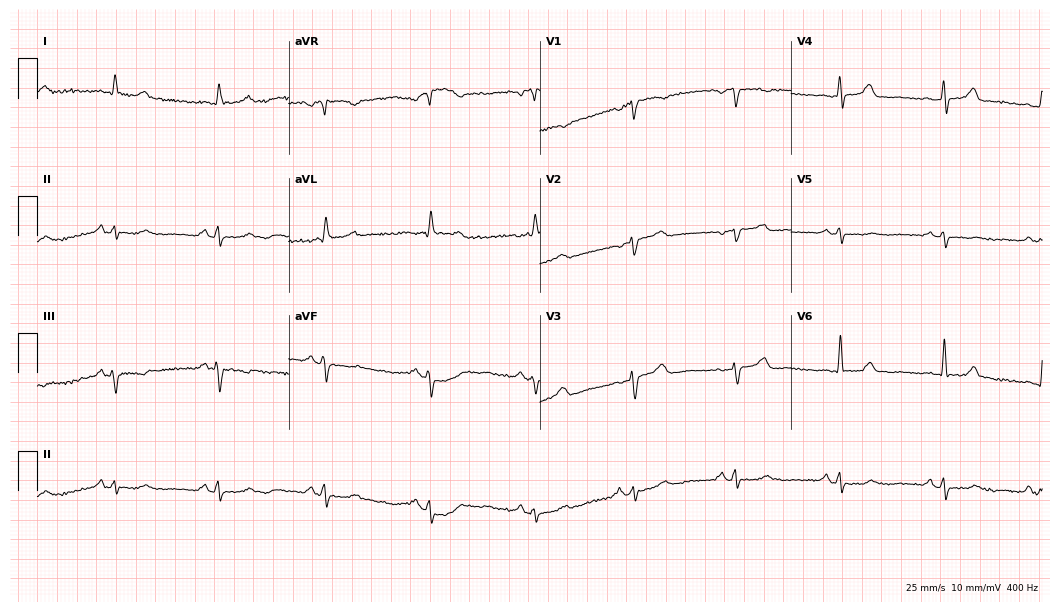
Standard 12-lead ECG recorded from a 74-year-old female (10.2-second recording at 400 Hz). None of these six findings is recorded: first-degree AV block, right bundle branch block (RBBB), left bundle branch block (LBBB), sinus bradycardia, atrial fibrillation (AF), sinus tachycardia. Other findings, if any, are not listed.